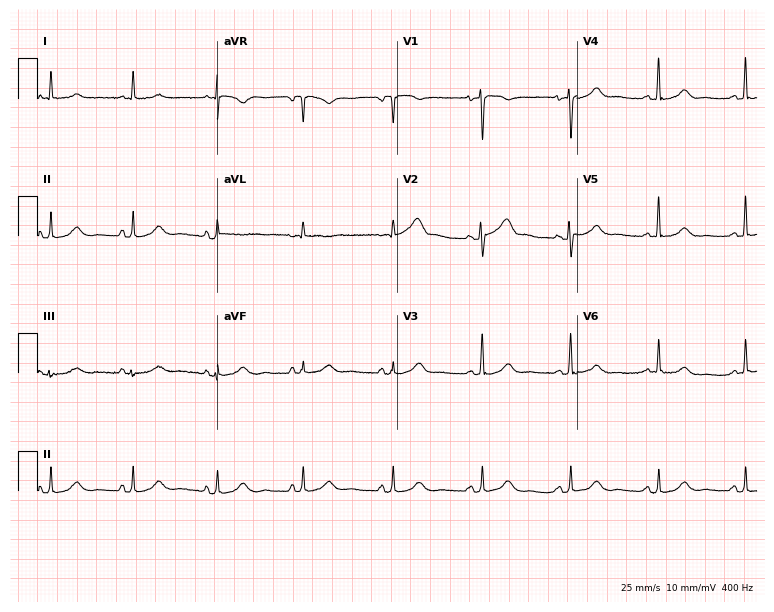
12-lead ECG from a female patient, 67 years old (7.3-second recording at 400 Hz). Recorded interpretation: within normal limits.